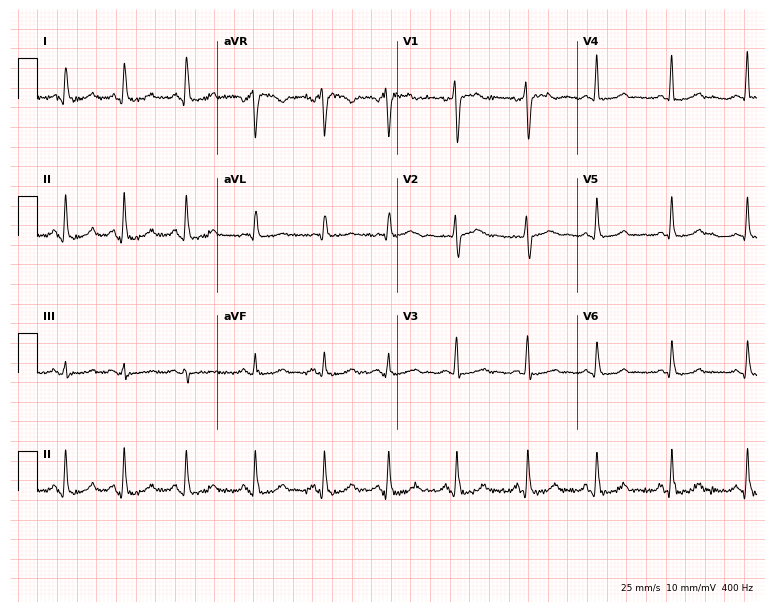
12-lead ECG (7.3-second recording at 400 Hz) from a 35-year-old female patient. Labelled as a normal ECG.